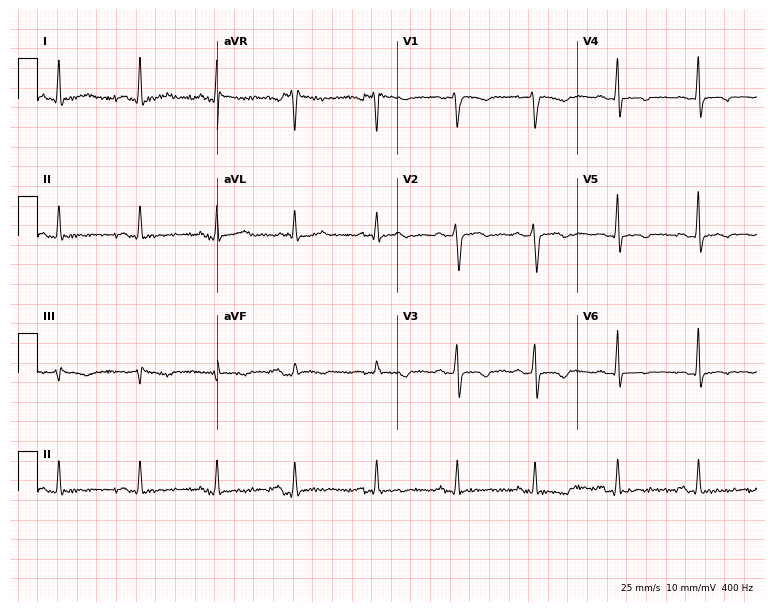
12-lead ECG from a female patient, 37 years old. No first-degree AV block, right bundle branch block (RBBB), left bundle branch block (LBBB), sinus bradycardia, atrial fibrillation (AF) or sinus tachycardia recorded for this tracing.